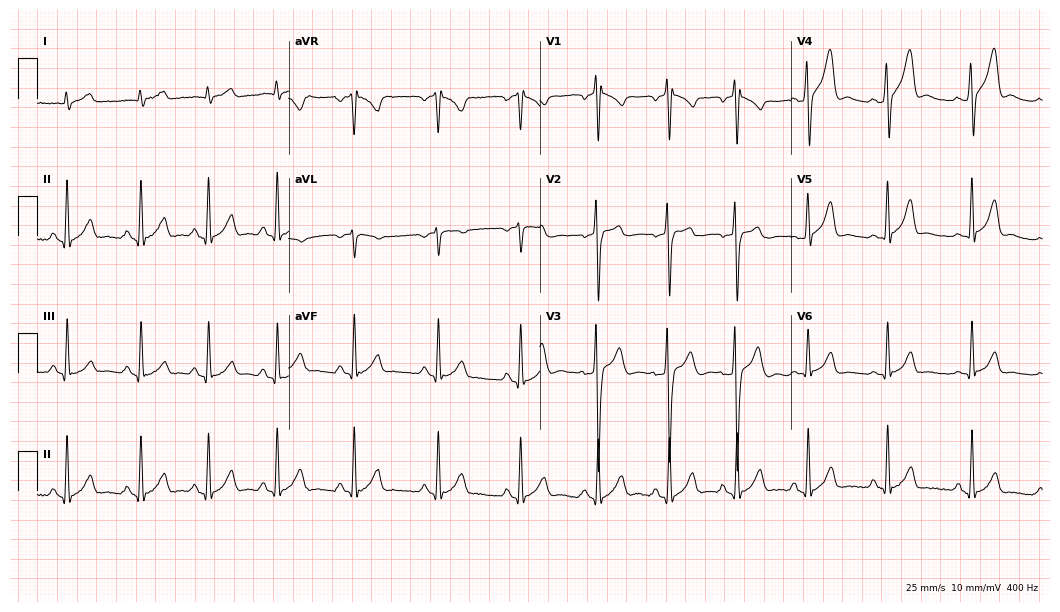
12-lead ECG from a 25-year-old male patient. Recorded interpretation: within normal limits.